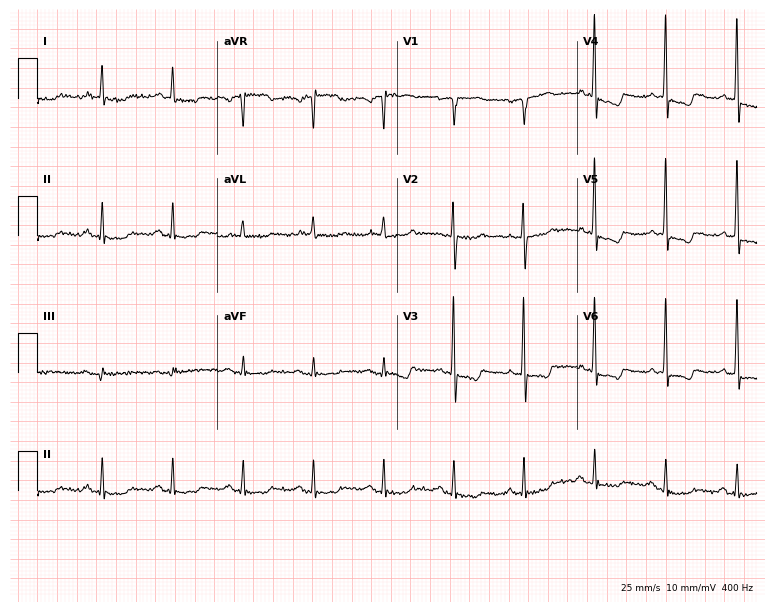
Resting 12-lead electrocardiogram (7.3-second recording at 400 Hz). Patient: a male, 60 years old. None of these six findings is recorded: first-degree AV block, right bundle branch block (RBBB), left bundle branch block (LBBB), sinus bradycardia, atrial fibrillation (AF), sinus tachycardia. Only these six findings were labelled.